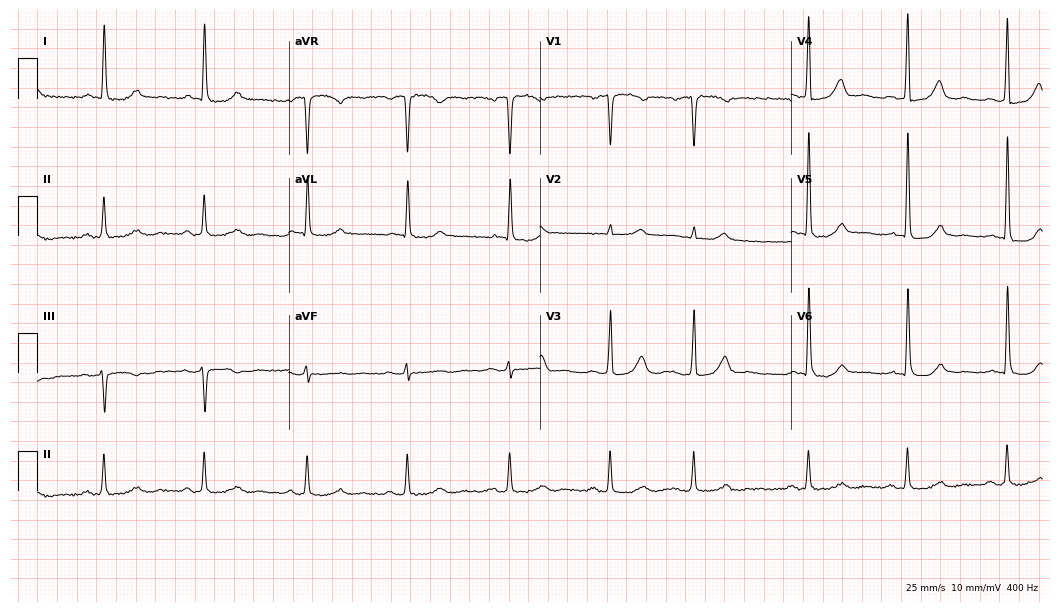
12-lead ECG from a male, 73 years old (10.2-second recording at 400 Hz). No first-degree AV block, right bundle branch block, left bundle branch block, sinus bradycardia, atrial fibrillation or sinus tachycardia recorded for this tracing.